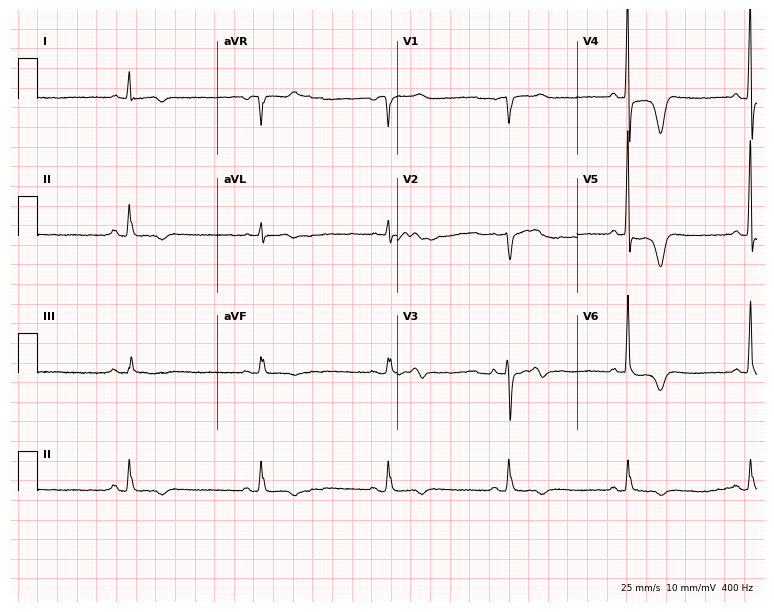
12-lead ECG from a male, 71 years old. Screened for six findings — first-degree AV block, right bundle branch block, left bundle branch block, sinus bradycardia, atrial fibrillation, sinus tachycardia — none is recorded.